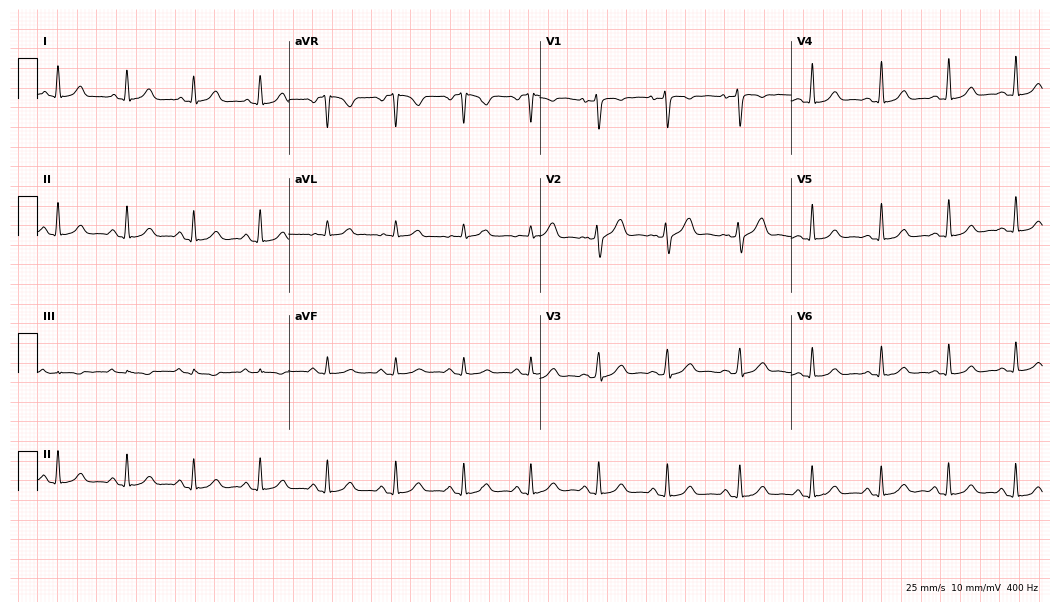
12-lead ECG from a 31-year-old female patient. Labelled as a normal ECG.